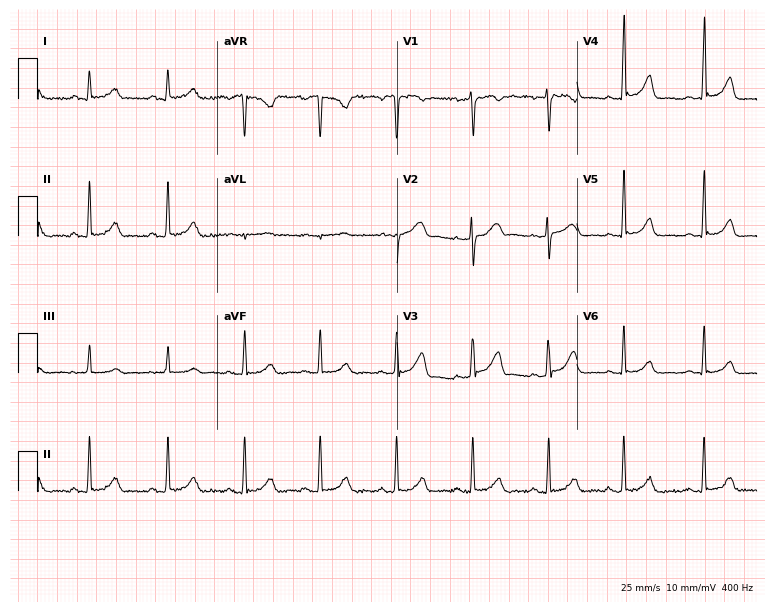
Standard 12-lead ECG recorded from a woman, 52 years old (7.3-second recording at 400 Hz). Read as a normal ECG.